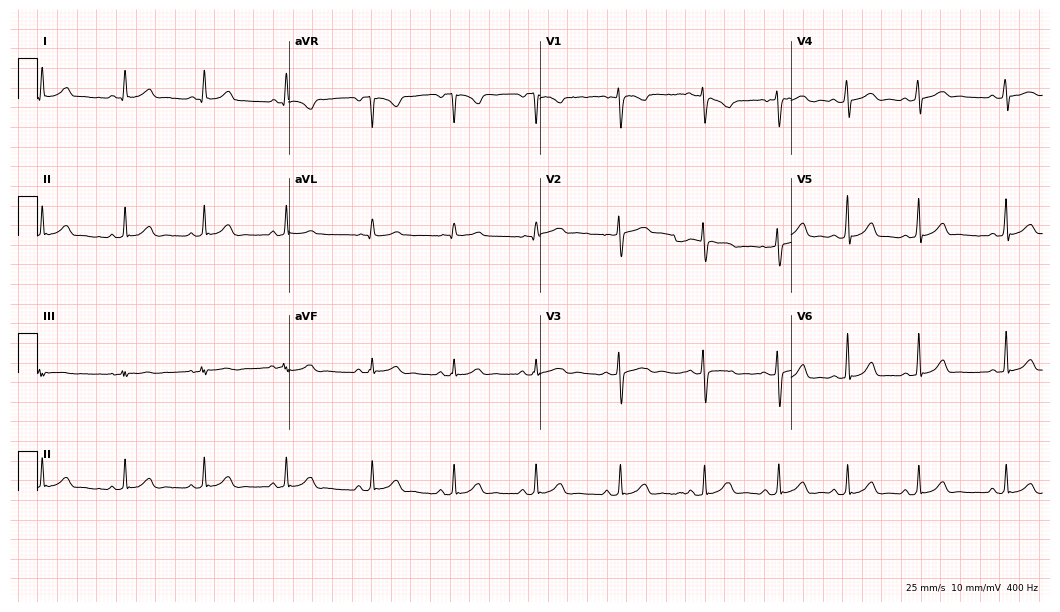
Standard 12-lead ECG recorded from a 36-year-old female patient (10.2-second recording at 400 Hz). Read as a normal ECG.